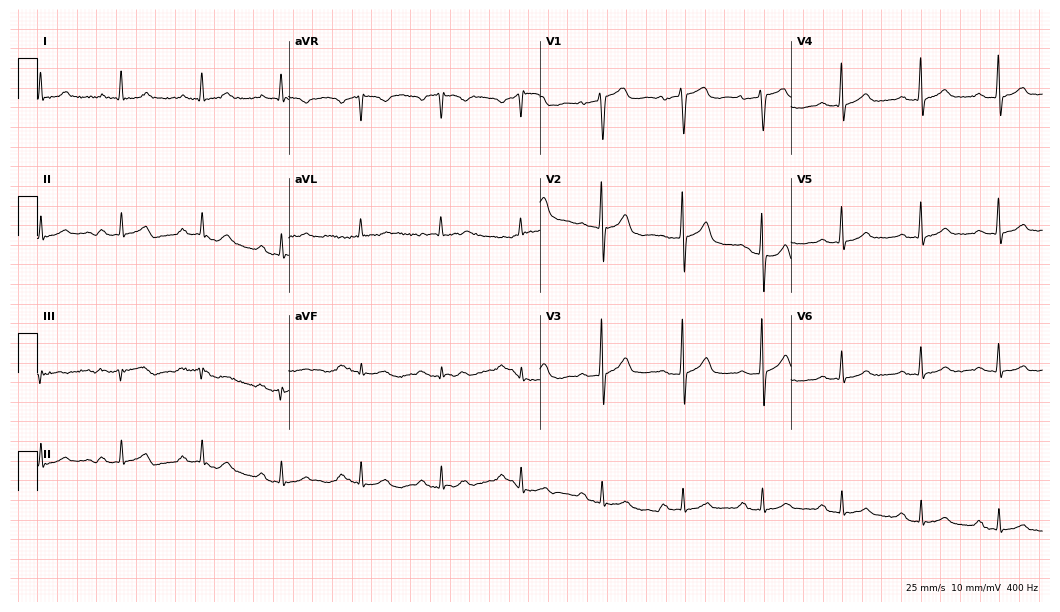
12-lead ECG (10.2-second recording at 400 Hz) from a 67-year-old male patient. Screened for six findings — first-degree AV block, right bundle branch block (RBBB), left bundle branch block (LBBB), sinus bradycardia, atrial fibrillation (AF), sinus tachycardia — none is recorded.